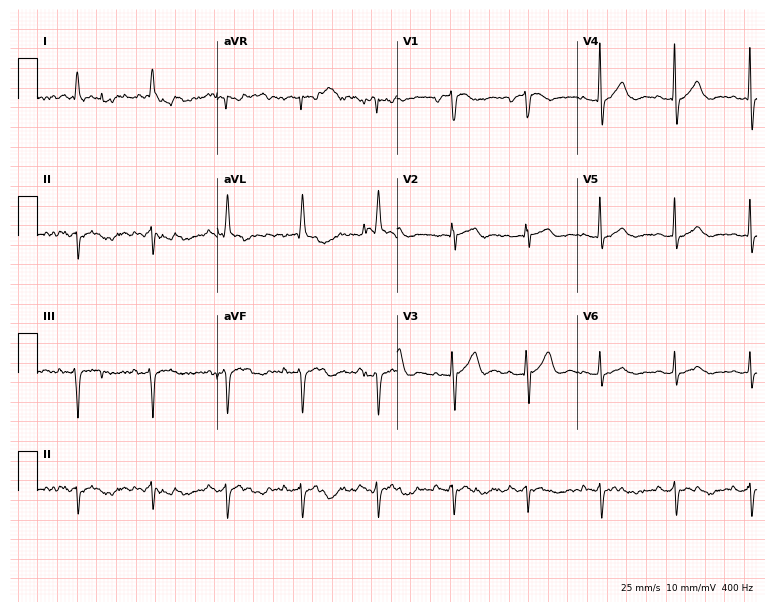
ECG — a 79-year-old man. Screened for six findings — first-degree AV block, right bundle branch block (RBBB), left bundle branch block (LBBB), sinus bradycardia, atrial fibrillation (AF), sinus tachycardia — none is recorded.